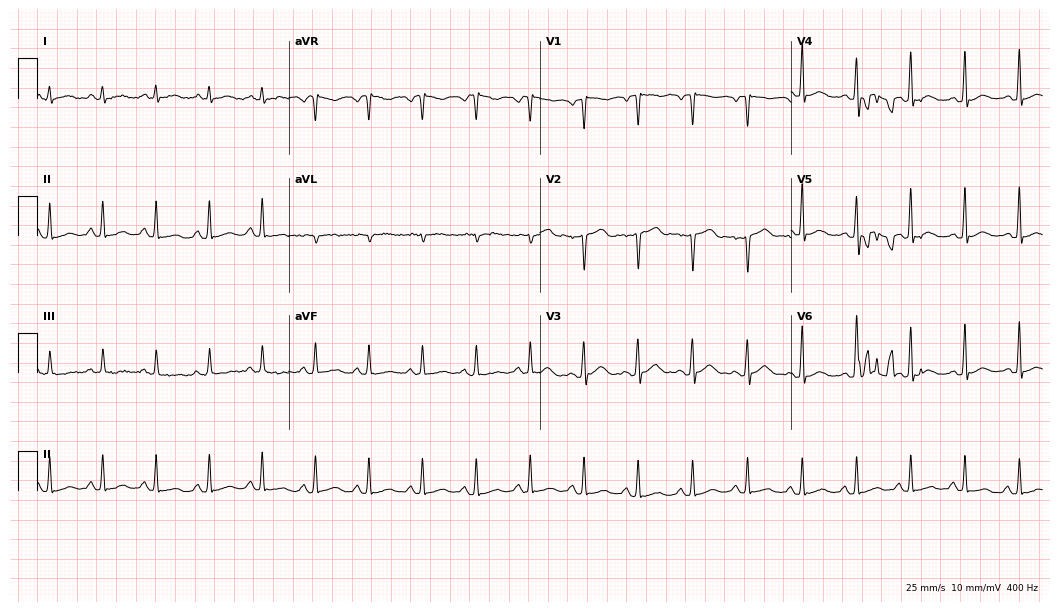
12-lead ECG from a 28-year-old man. Screened for six findings — first-degree AV block, right bundle branch block, left bundle branch block, sinus bradycardia, atrial fibrillation, sinus tachycardia — none is recorded.